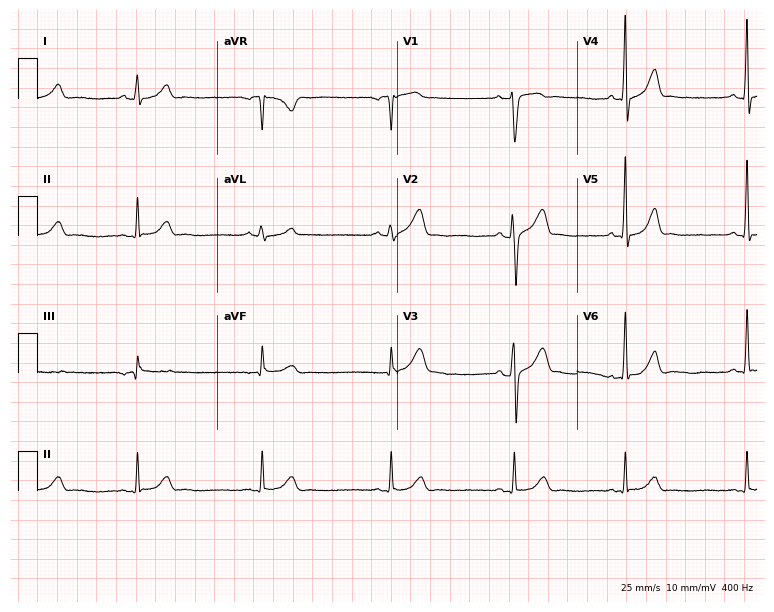
Standard 12-lead ECG recorded from a 27-year-old male. Read as a normal ECG.